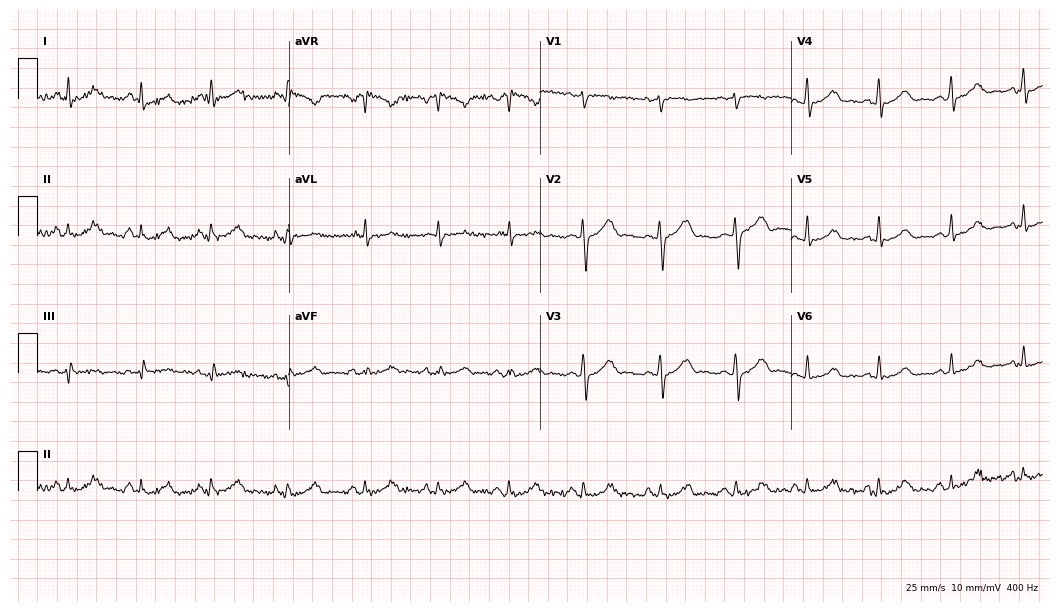
Resting 12-lead electrocardiogram. Patient: a female, 45 years old. None of these six findings is recorded: first-degree AV block, right bundle branch block, left bundle branch block, sinus bradycardia, atrial fibrillation, sinus tachycardia.